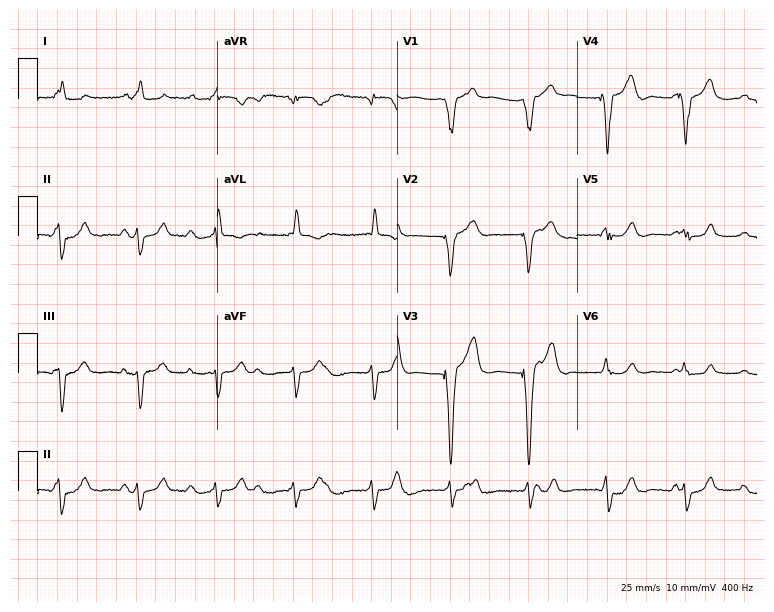
Resting 12-lead electrocardiogram (7.3-second recording at 400 Hz). Patient: a 58-year-old female. None of these six findings is recorded: first-degree AV block, right bundle branch block (RBBB), left bundle branch block (LBBB), sinus bradycardia, atrial fibrillation (AF), sinus tachycardia. Other findings, if any, are not listed.